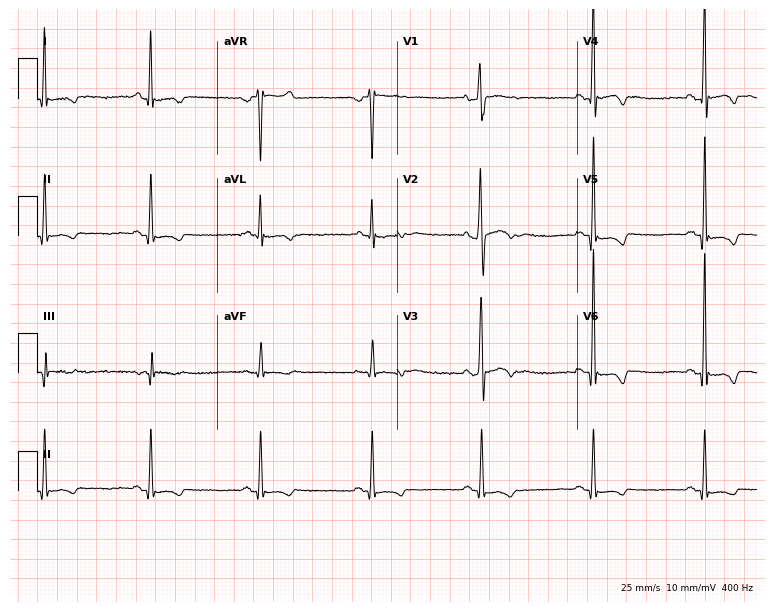
Standard 12-lead ECG recorded from a 42-year-old male. None of these six findings is recorded: first-degree AV block, right bundle branch block, left bundle branch block, sinus bradycardia, atrial fibrillation, sinus tachycardia.